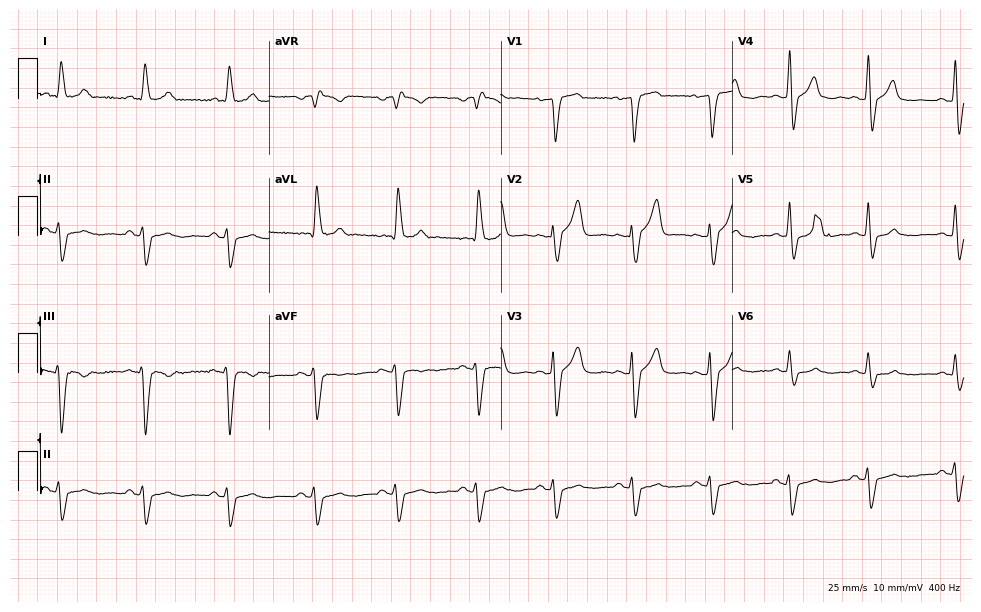
Standard 12-lead ECG recorded from a male patient, 55 years old (9.4-second recording at 400 Hz). The tracing shows left bundle branch block (LBBB).